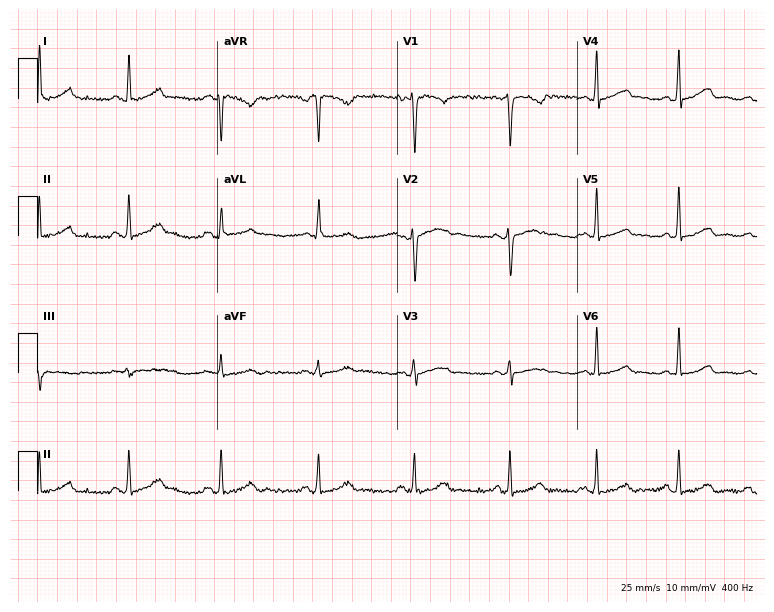
Electrocardiogram, a 33-year-old female patient. Overall reading on record: normal ECG.